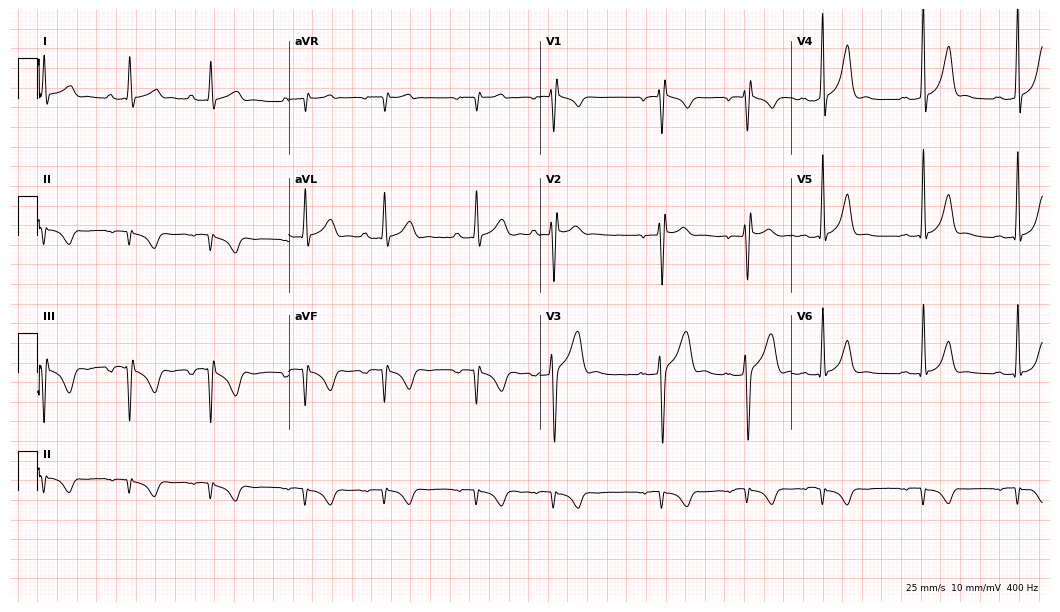
Standard 12-lead ECG recorded from a 17-year-old man. None of these six findings is recorded: first-degree AV block, right bundle branch block, left bundle branch block, sinus bradycardia, atrial fibrillation, sinus tachycardia.